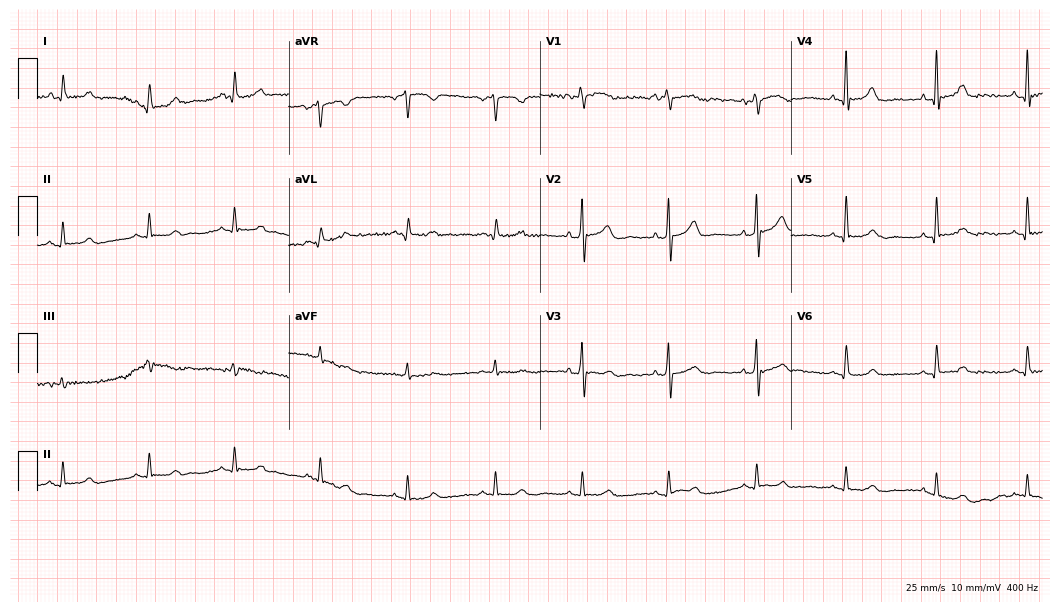
Electrocardiogram (10.2-second recording at 400 Hz), a 75-year-old male patient. Overall reading on record: normal ECG.